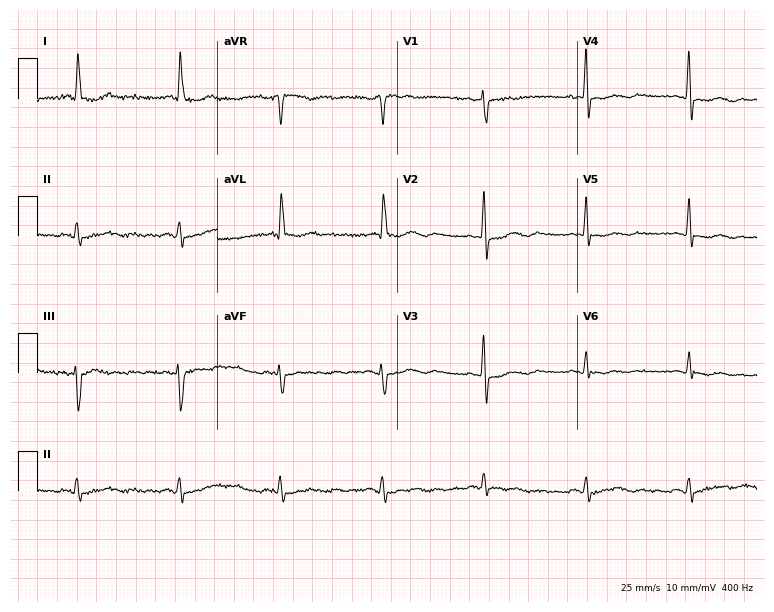
Resting 12-lead electrocardiogram. Patient: a female, 79 years old. None of these six findings is recorded: first-degree AV block, right bundle branch block, left bundle branch block, sinus bradycardia, atrial fibrillation, sinus tachycardia.